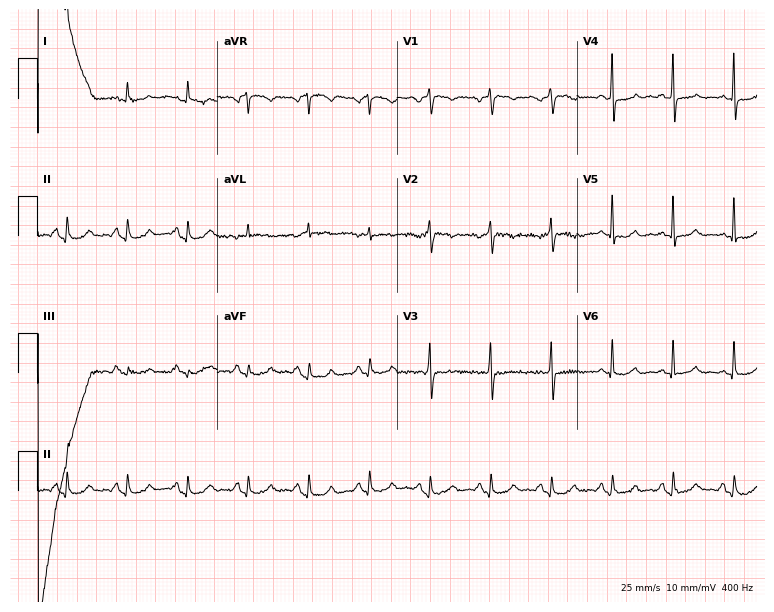
Electrocardiogram, a 72-year-old man. Of the six screened findings (first-degree AV block, right bundle branch block (RBBB), left bundle branch block (LBBB), sinus bradycardia, atrial fibrillation (AF), sinus tachycardia), none is recorded. Findings outside these six are not listed.